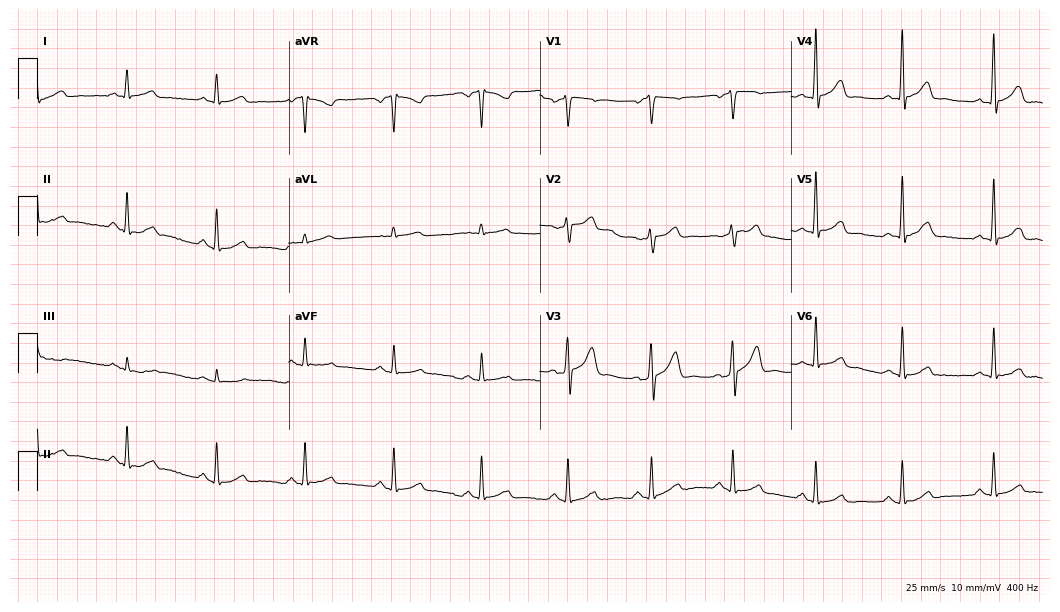
12-lead ECG from a male, 44 years old. Labelled as a normal ECG.